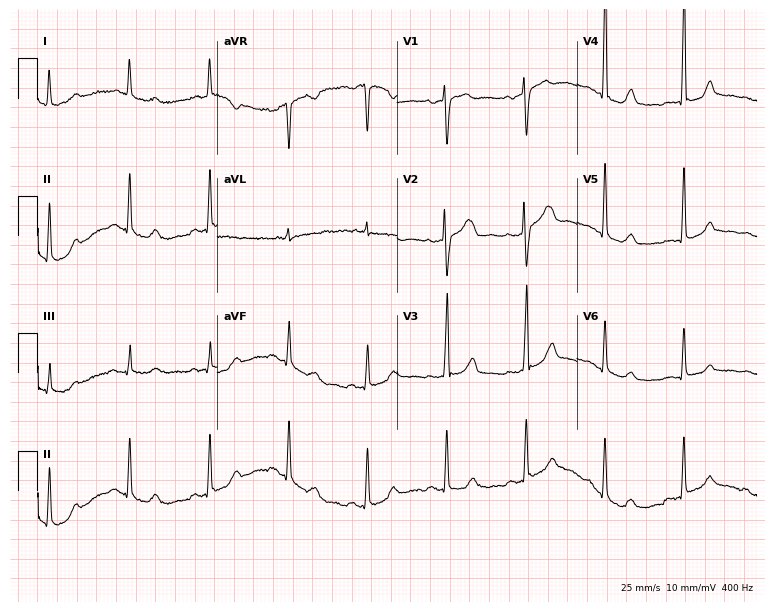
Resting 12-lead electrocardiogram (7.3-second recording at 400 Hz). Patient: a 56-year-old woman. Read as a normal ECG.